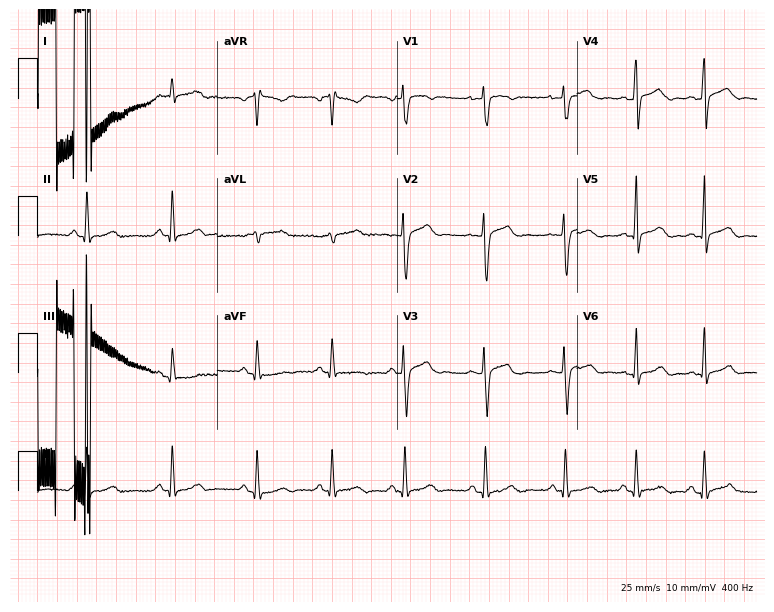
12-lead ECG from a 26-year-old female (7.3-second recording at 400 Hz). No first-degree AV block, right bundle branch block, left bundle branch block, sinus bradycardia, atrial fibrillation or sinus tachycardia recorded for this tracing.